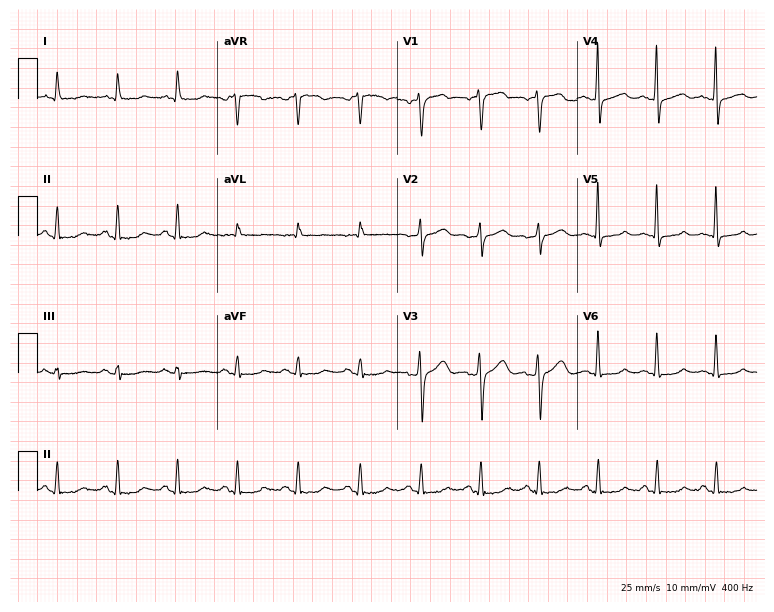
Electrocardiogram (7.3-second recording at 400 Hz), a 65-year-old woman. Of the six screened findings (first-degree AV block, right bundle branch block, left bundle branch block, sinus bradycardia, atrial fibrillation, sinus tachycardia), none is recorded. Only these six findings were labelled.